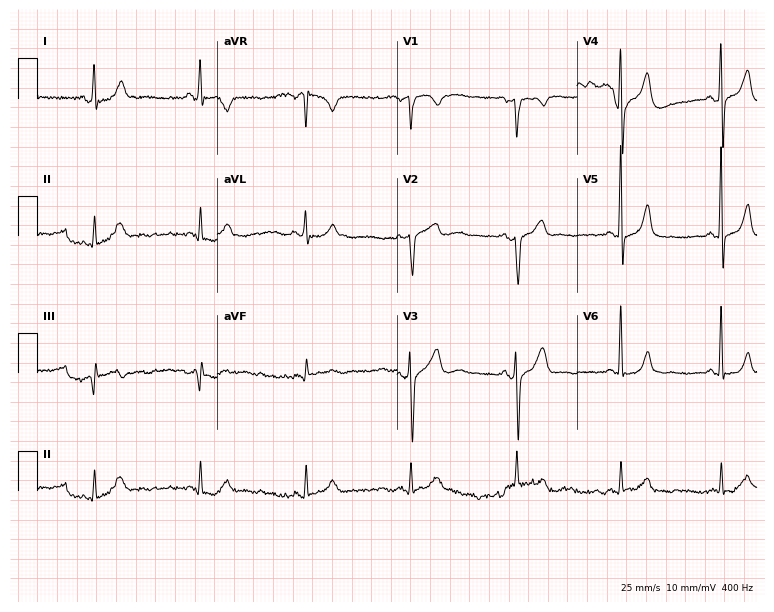
Standard 12-lead ECG recorded from a 75-year-old man (7.3-second recording at 400 Hz). None of these six findings is recorded: first-degree AV block, right bundle branch block, left bundle branch block, sinus bradycardia, atrial fibrillation, sinus tachycardia. Only these six findings were labelled.